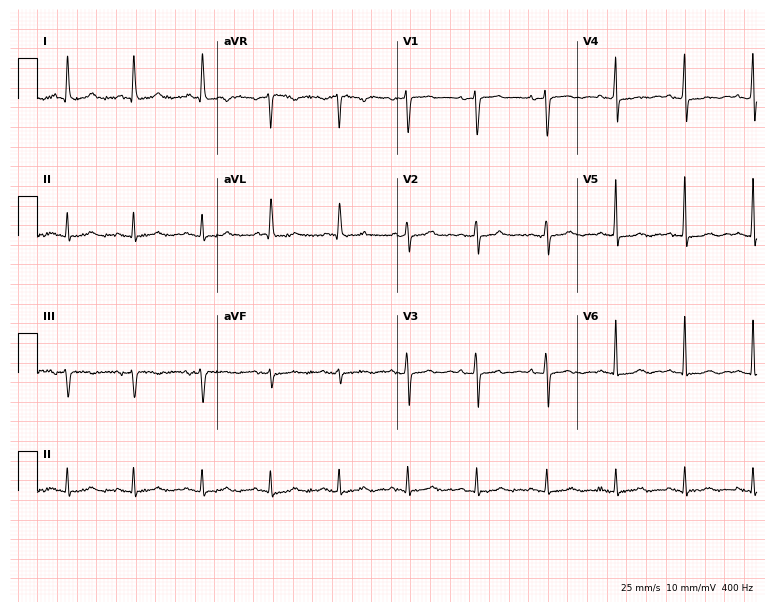
ECG — a woman, 75 years old. Screened for six findings — first-degree AV block, right bundle branch block (RBBB), left bundle branch block (LBBB), sinus bradycardia, atrial fibrillation (AF), sinus tachycardia — none is recorded. Only these six findings were labelled.